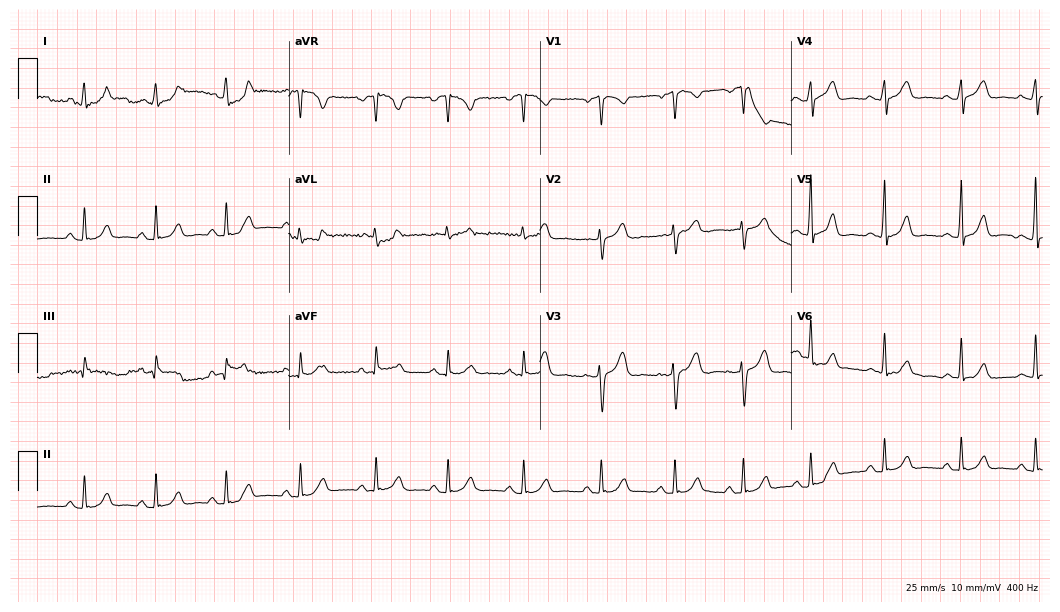
ECG — a 54-year-old woman. Labelled as a normal ECG.